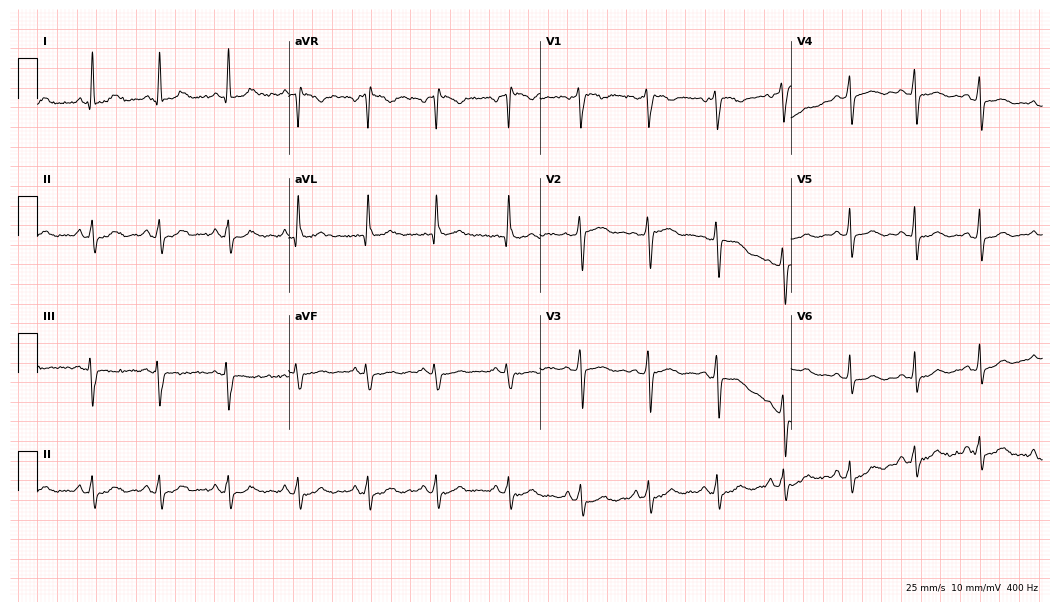
ECG (10.2-second recording at 400 Hz) — a 42-year-old female. Screened for six findings — first-degree AV block, right bundle branch block, left bundle branch block, sinus bradycardia, atrial fibrillation, sinus tachycardia — none is recorded. Findings outside these six are not listed.